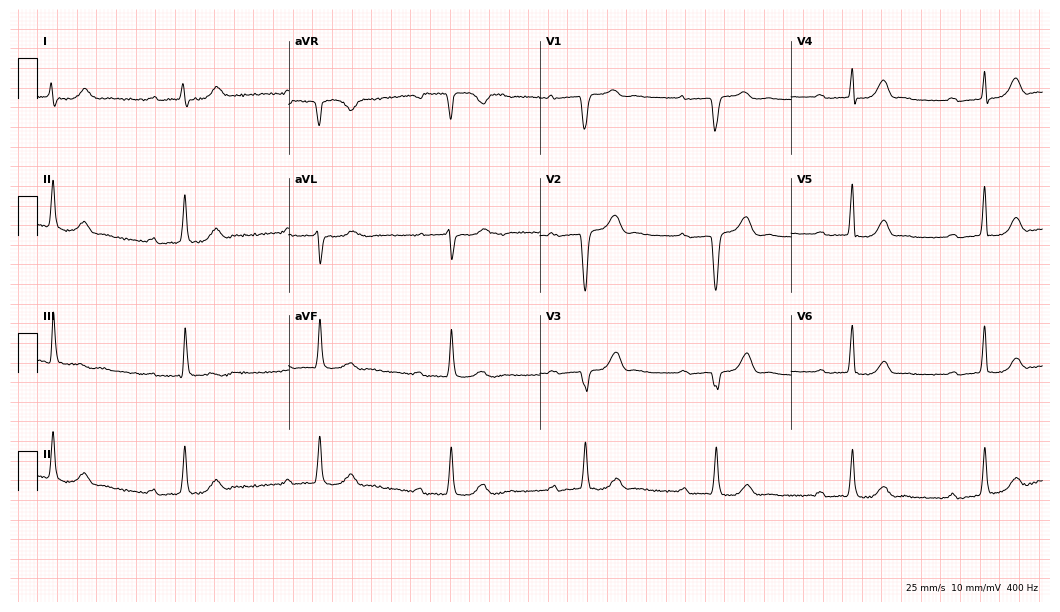
12-lead ECG from a male patient, 71 years old. Shows first-degree AV block, sinus bradycardia (a sinus rate of 50 beats per minute or less).